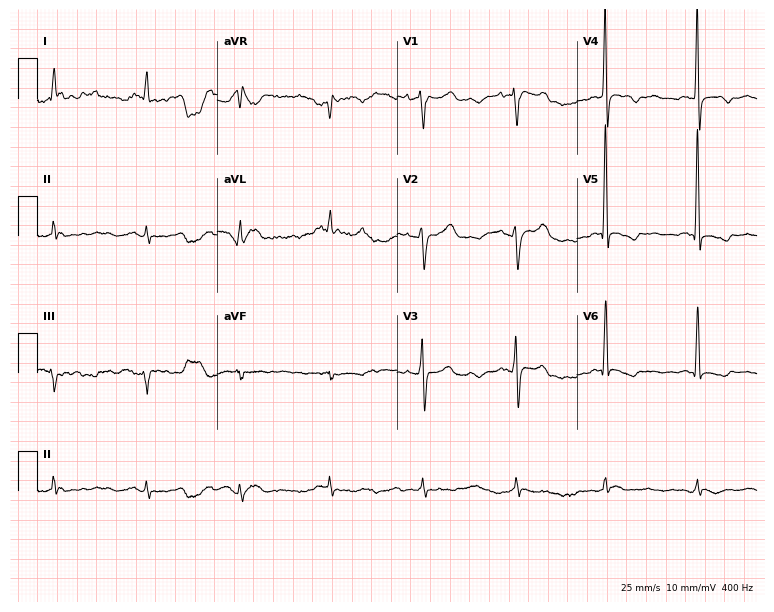
Resting 12-lead electrocardiogram (7.3-second recording at 400 Hz). Patient: a 75-year-old female. None of these six findings is recorded: first-degree AV block, right bundle branch block, left bundle branch block, sinus bradycardia, atrial fibrillation, sinus tachycardia. Findings outside these six are not listed.